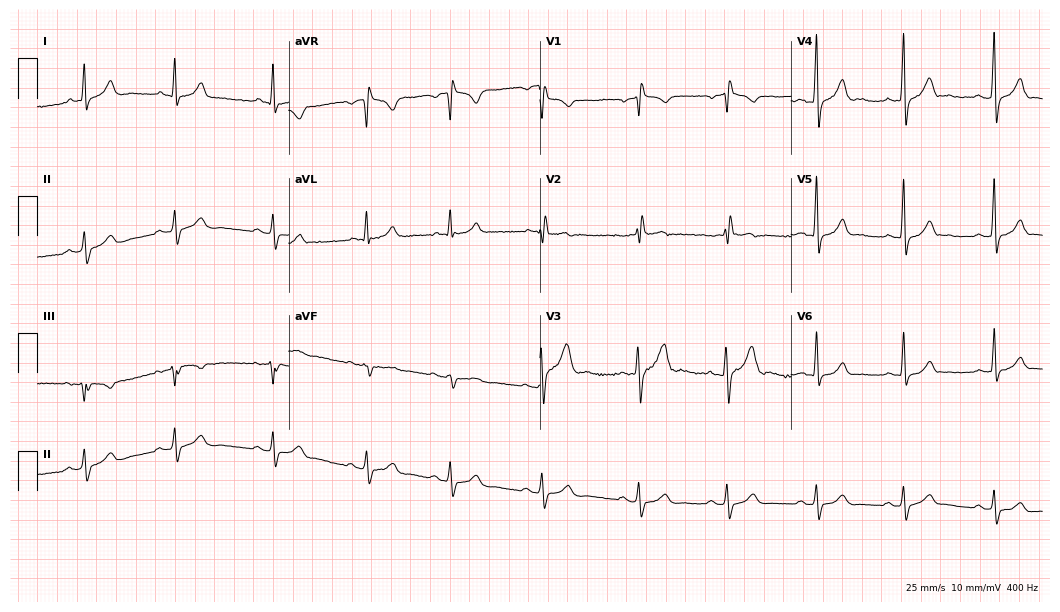
12-lead ECG from a 31-year-old man (10.2-second recording at 400 Hz). No first-degree AV block, right bundle branch block, left bundle branch block, sinus bradycardia, atrial fibrillation or sinus tachycardia recorded for this tracing.